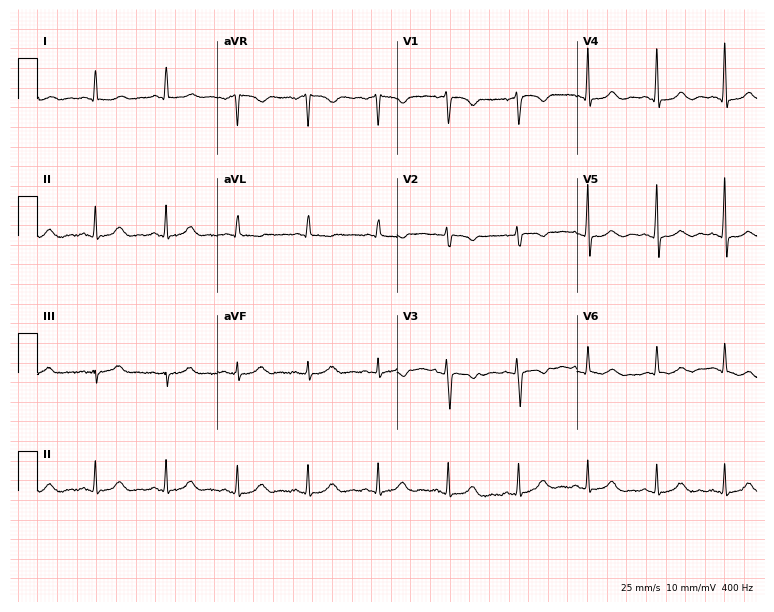
12-lead ECG from a 48-year-old female. Recorded interpretation: within normal limits.